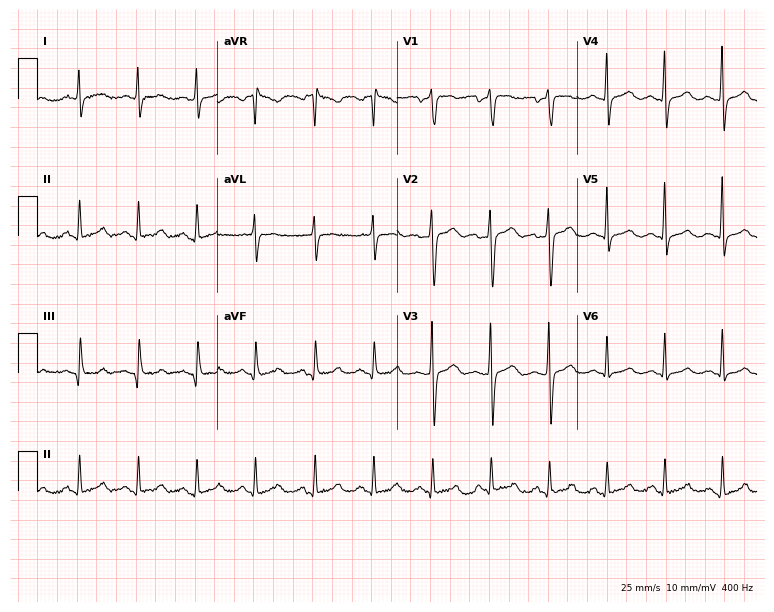
Standard 12-lead ECG recorded from a 60-year-old woman (7.3-second recording at 400 Hz). Read as a normal ECG.